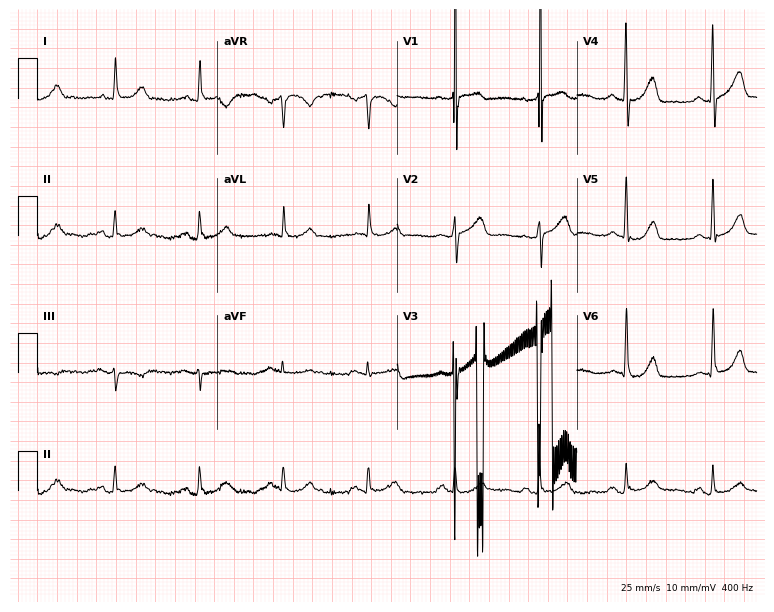
ECG (7.3-second recording at 400 Hz) — a 69-year-old male patient. Labelled as a normal ECG.